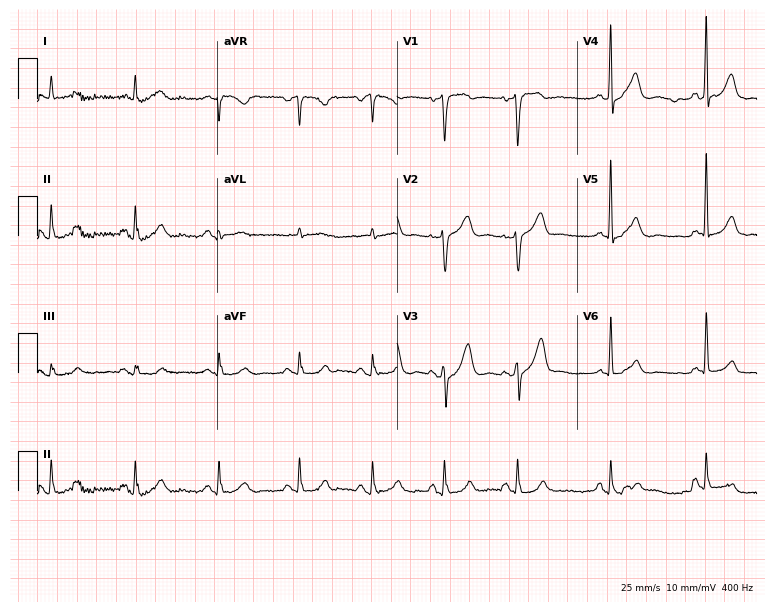
Electrocardiogram (7.3-second recording at 400 Hz), a male, 76 years old. Overall reading on record: normal ECG.